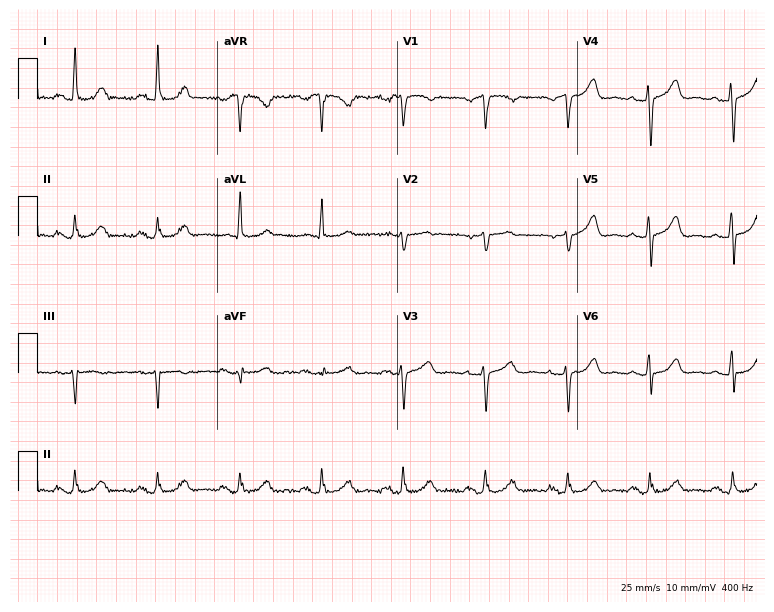
Standard 12-lead ECG recorded from a 47-year-old woman (7.3-second recording at 400 Hz). Read as a normal ECG.